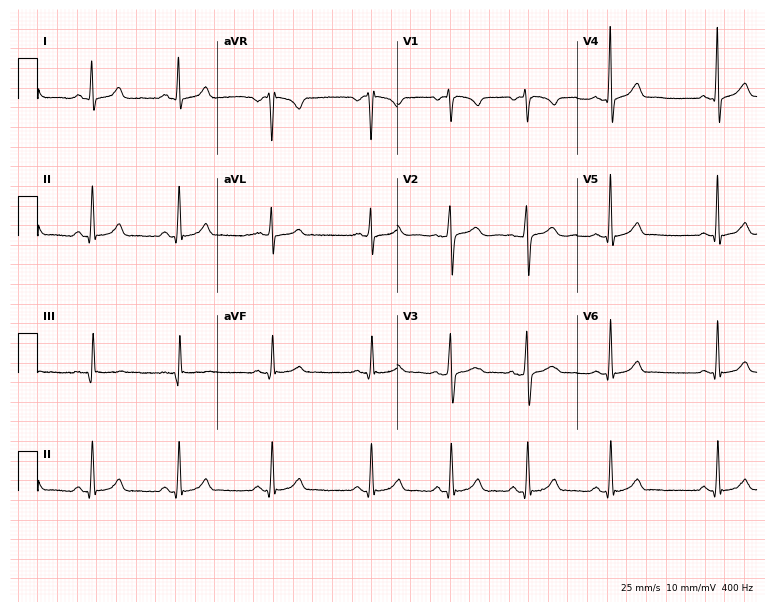
Electrocardiogram, a 33-year-old female. Overall reading on record: normal ECG.